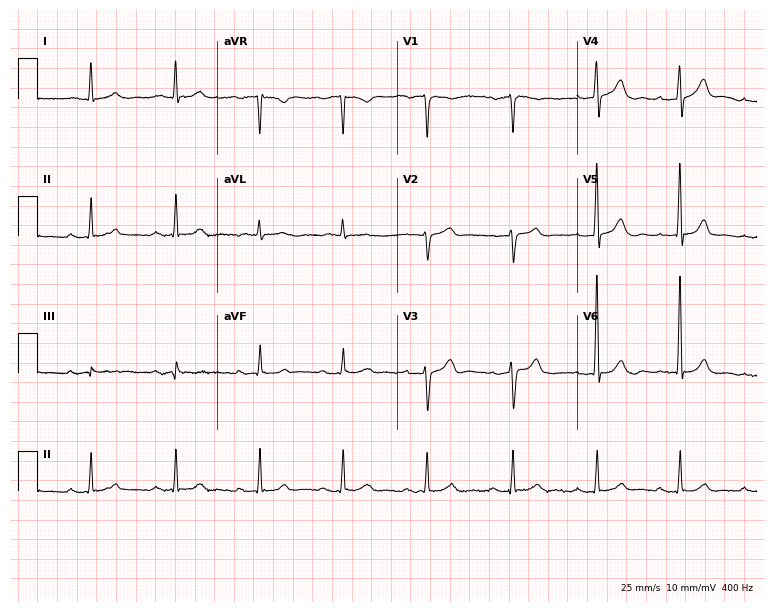
12-lead ECG from an 81-year-old male patient (7.3-second recording at 400 Hz). Recorded interpretation: within normal limits.